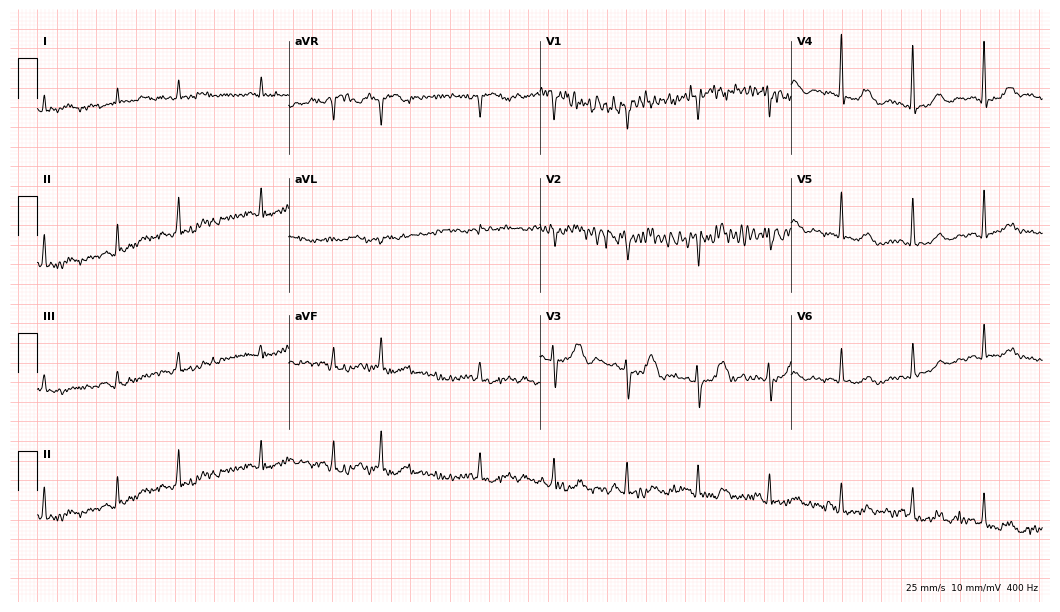
ECG (10.2-second recording at 400 Hz) — a 79-year-old woman. Screened for six findings — first-degree AV block, right bundle branch block, left bundle branch block, sinus bradycardia, atrial fibrillation, sinus tachycardia — none is recorded. Findings outside these six are not listed.